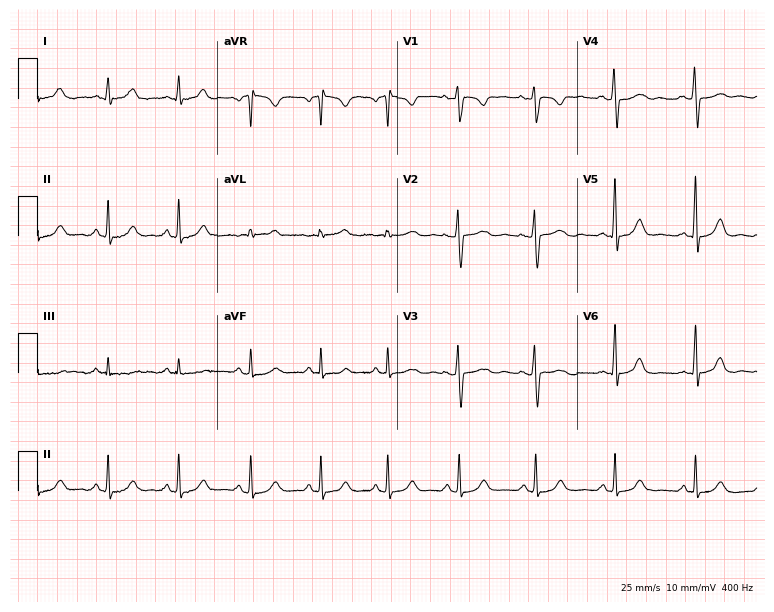
Standard 12-lead ECG recorded from a woman, 32 years old (7.3-second recording at 400 Hz). Read as a normal ECG.